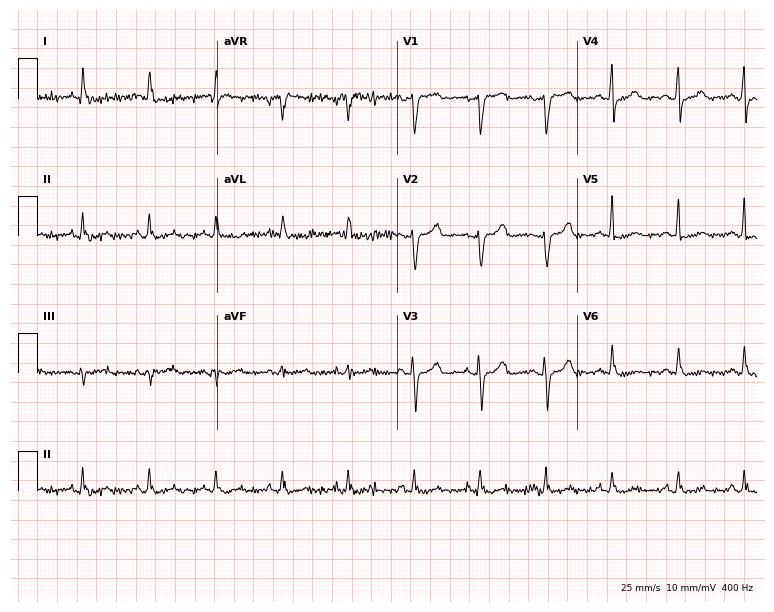
Electrocardiogram (7.3-second recording at 400 Hz), a female, 73 years old. Of the six screened findings (first-degree AV block, right bundle branch block, left bundle branch block, sinus bradycardia, atrial fibrillation, sinus tachycardia), none is recorded. Only these six findings were labelled.